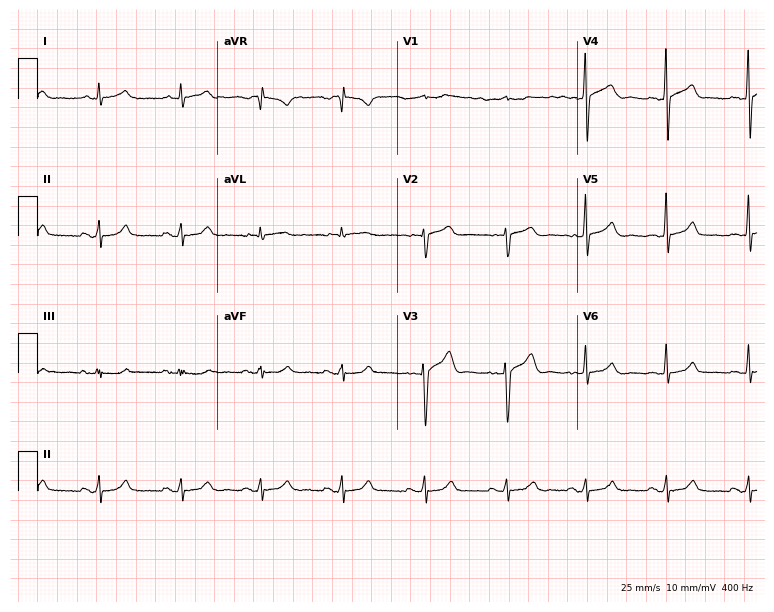
ECG (7.3-second recording at 400 Hz) — a male patient, 52 years old. Labelled as a normal ECG.